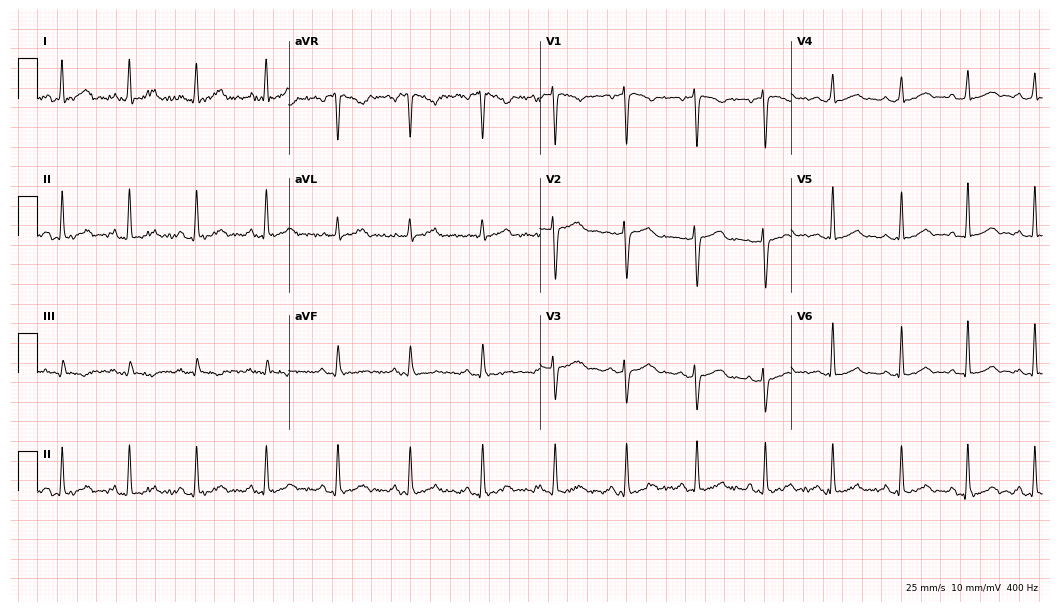
Resting 12-lead electrocardiogram. Patient: a female, 40 years old. Read as a normal ECG.